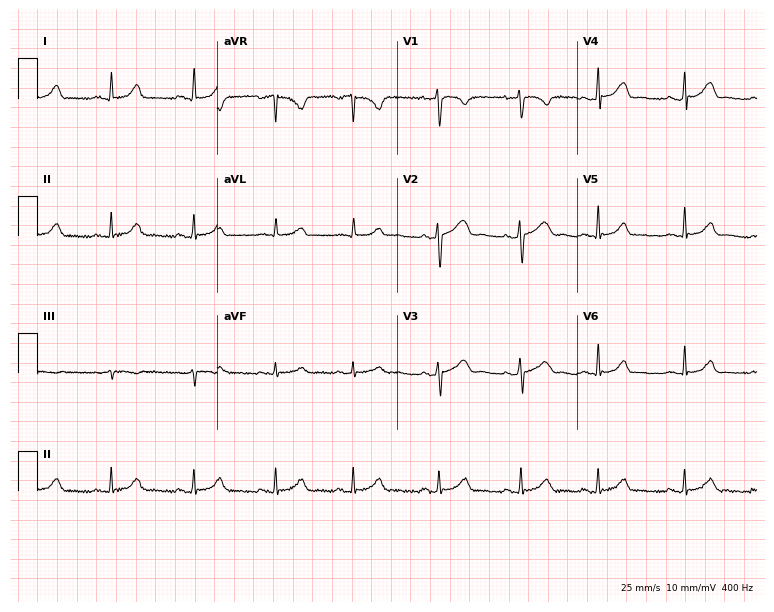
Electrocardiogram, a 29-year-old female. Overall reading on record: normal ECG.